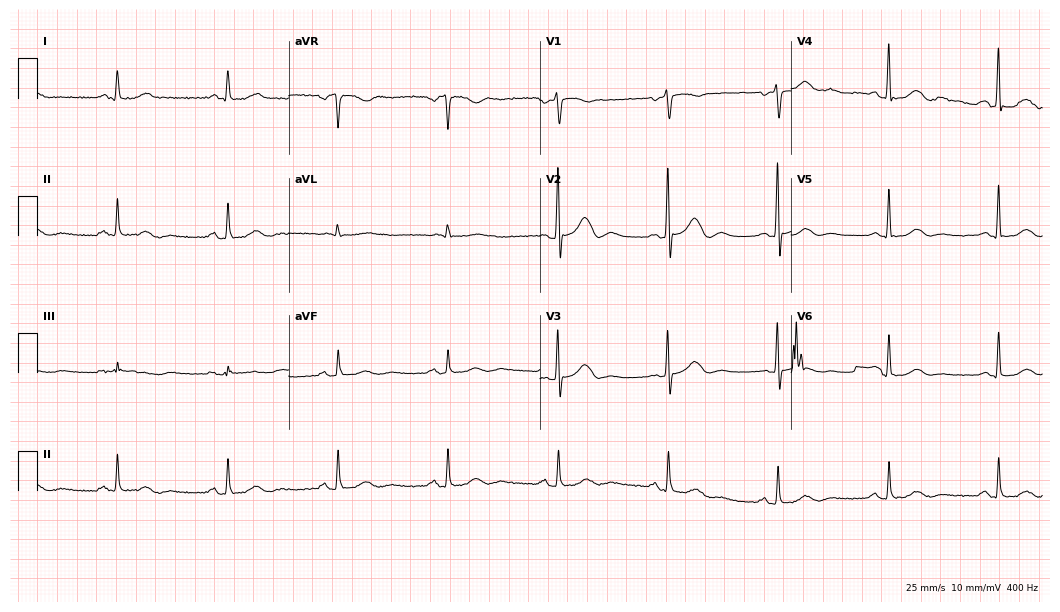
12-lead ECG from an 83-year-old woman (10.2-second recording at 400 Hz). Recorded interpretation: within normal limits.